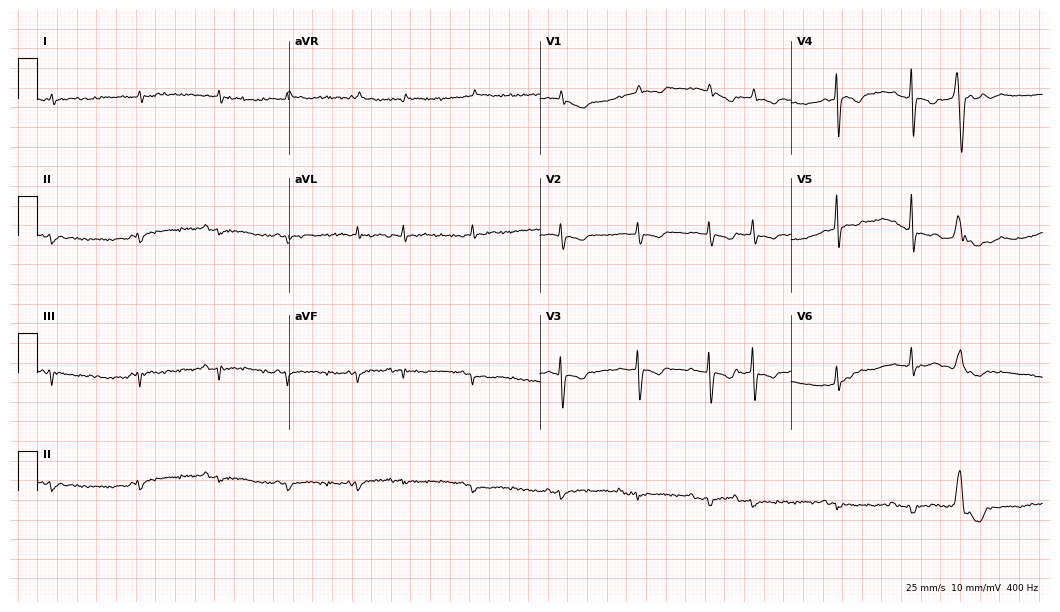
Resting 12-lead electrocardiogram (10.2-second recording at 400 Hz). Patient: a male, 82 years old. None of these six findings is recorded: first-degree AV block, right bundle branch block, left bundle branch block, sinus bradycardia, atrial fibrillation, sinus tachycardia.